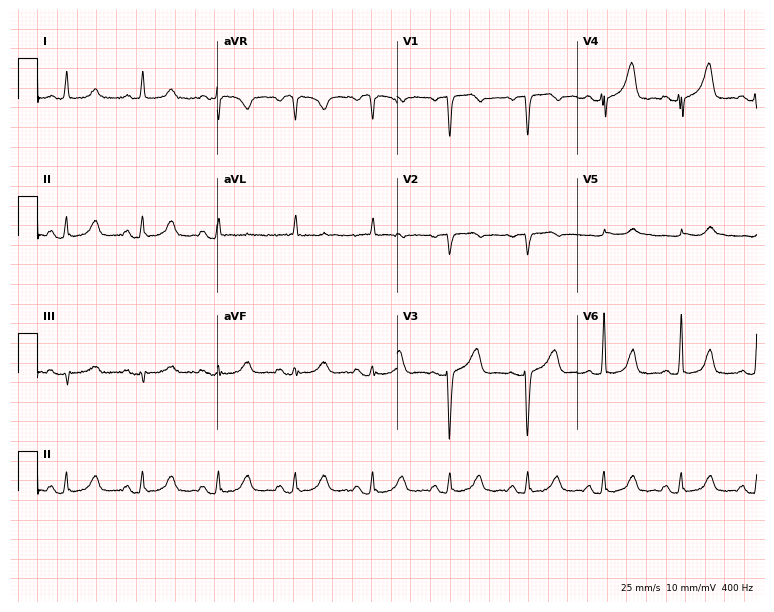
ECG (7.3-second recording at 400 Hz) — a female, 53 years old. Screened for six findings — first-degree AV block, right bundle branch block, left bundle branch block, sinus bradycardia, atrial fibrillation, sinus tachycardia — none is recorded. Only these six findings were labelled.